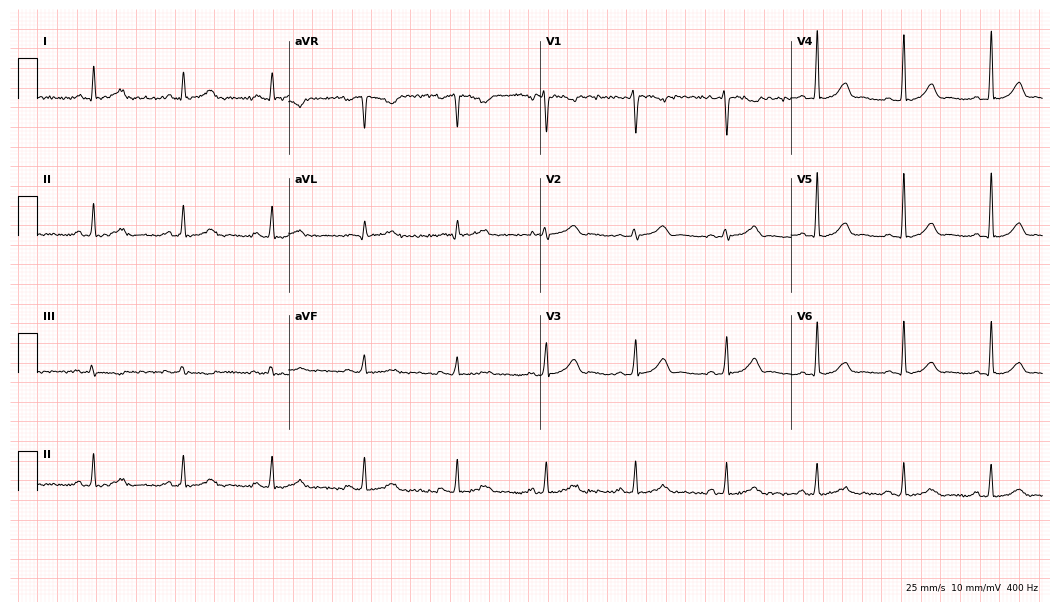
12-lead ECG from a female patient, 44 years old. Labelled as a normal ECG.